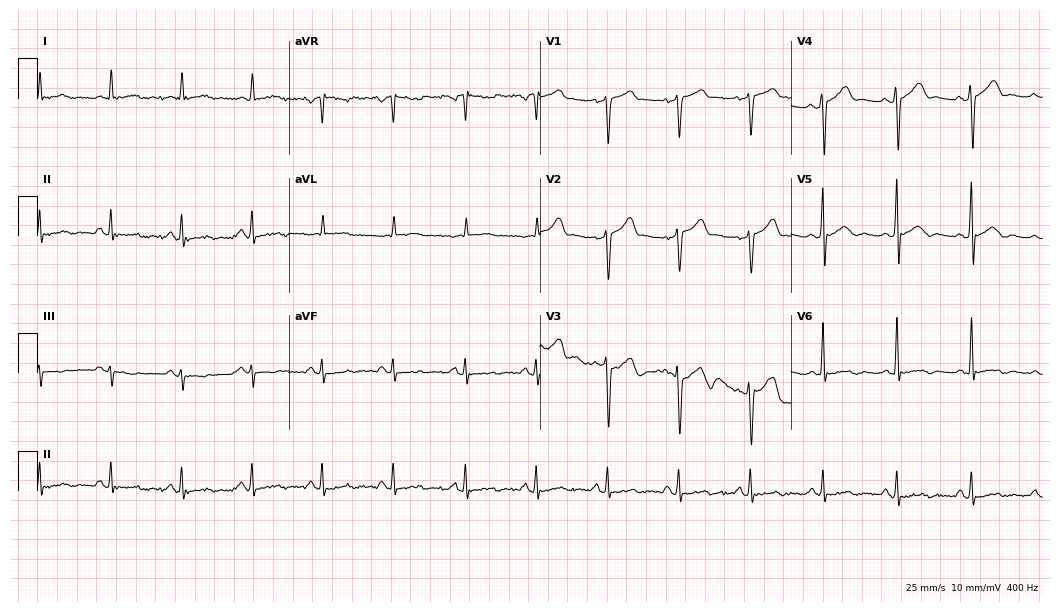
Standard 12-lead ECG recorded from a 60-year-old male (10.2-second recording at 400 Hz). None of these six findings is recorded: first-degree AV block, right bundle branch block, left bundle branch block, sinus bradycardia, atrial fibrillation, sinus tachycardia.